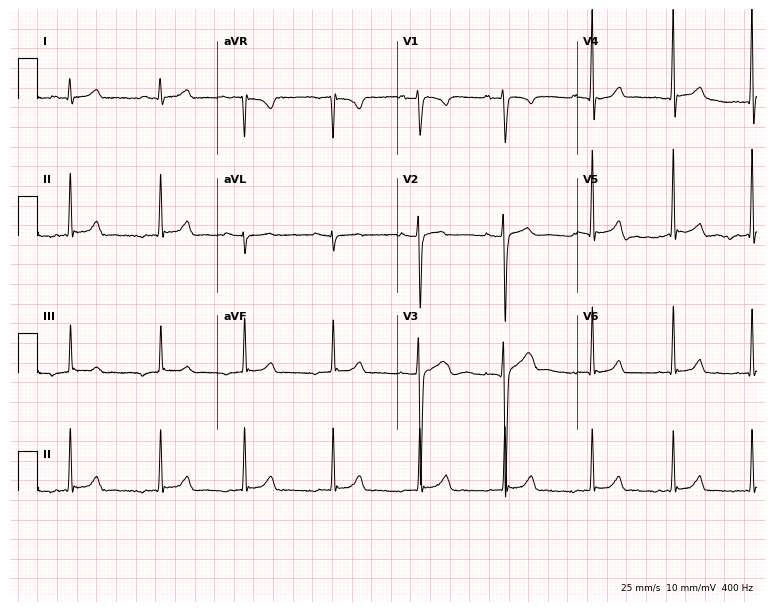
Standard 12-lead ECG recorded from a 21-year-old male patient. None of these six findings is recorded: first-degree AV block, right bundle branch block, left bundle branch block, sinus bradycardia, atrial fibrillation, sinus tachycardia. Other findings, if any, are not listed.